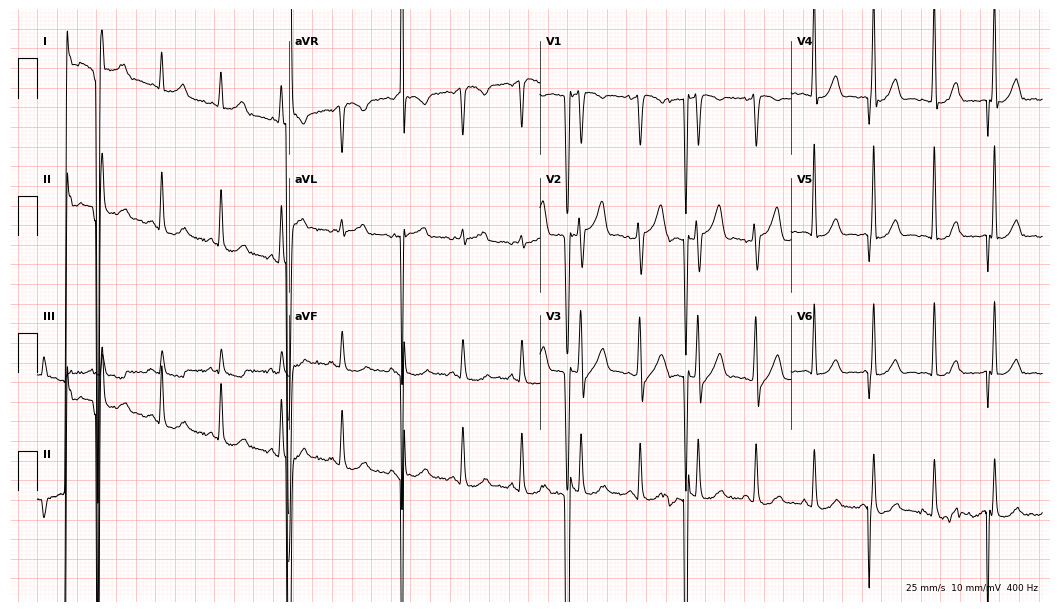
12-lead ECG from a male, 53 years old (10.2-second recording at 400 Hz). No first-degree AV block, right bundle branch block, left bundle branch block, sinus bradycardia, atrial fibrillation or sinus tachycardia recorded for this tracing. Other findings, if any, are not listed.